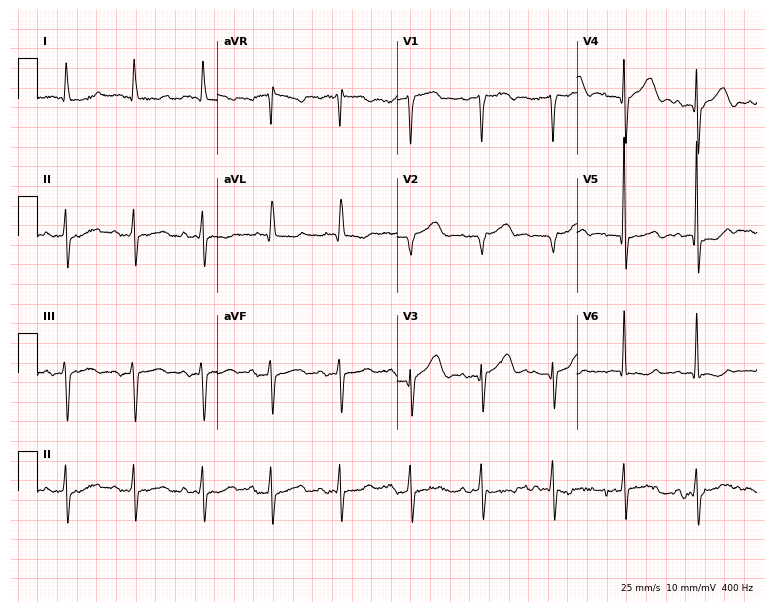
12-lead ECG (7.3-second recording at 400 Hz) from a man, 79 years old. Screened for six findings — first-degree AV block, right bundle branch block, left bundle branch block, sinus bradycardia, atrial fibrillation, sinus tachycardia — none is recorded.